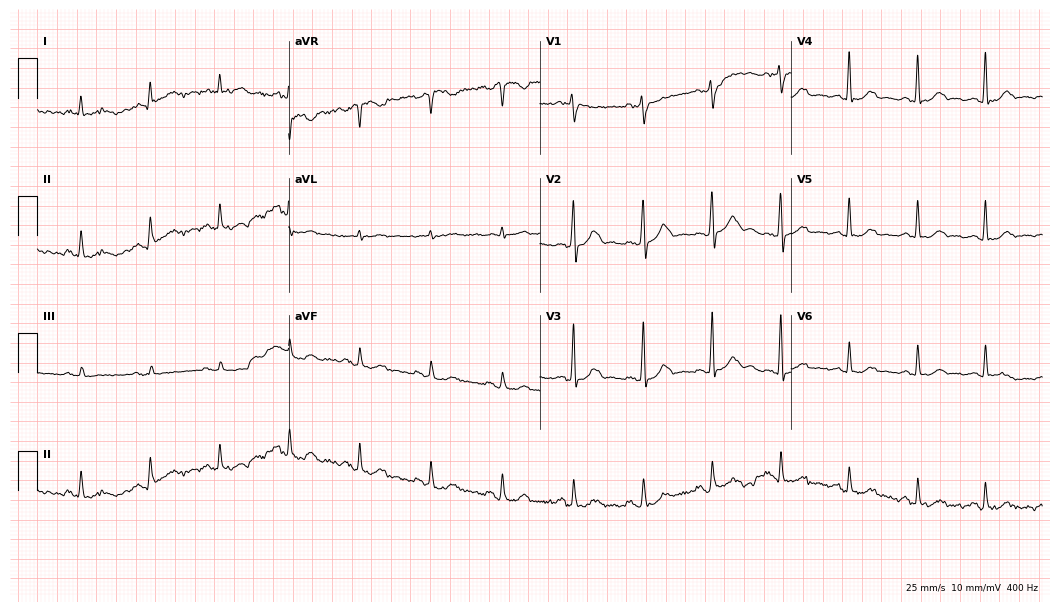
ECG (10.2-second recording at 400 Hz) — a 60-year-old female. Labelled as a normal ECG.